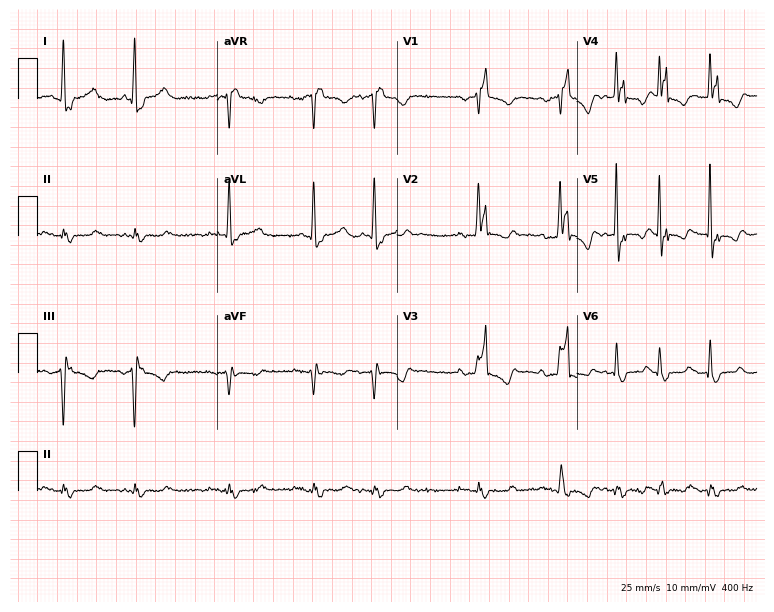
Electrocardiogram (7.3-second recording at 400 Hz), a male patient, 82 years old. Interpretation includes right bundle branch block.